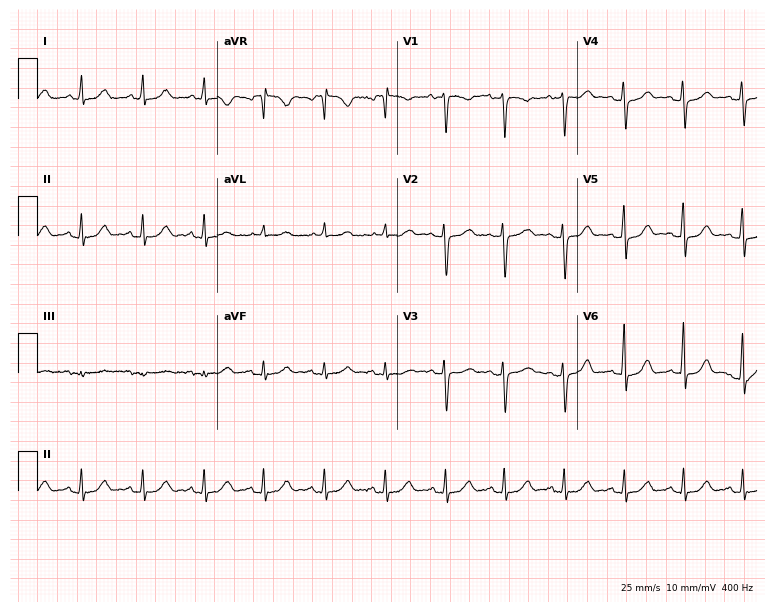
12-lead ECG from a woman, 38 years old. Labelled as a normal ECG.